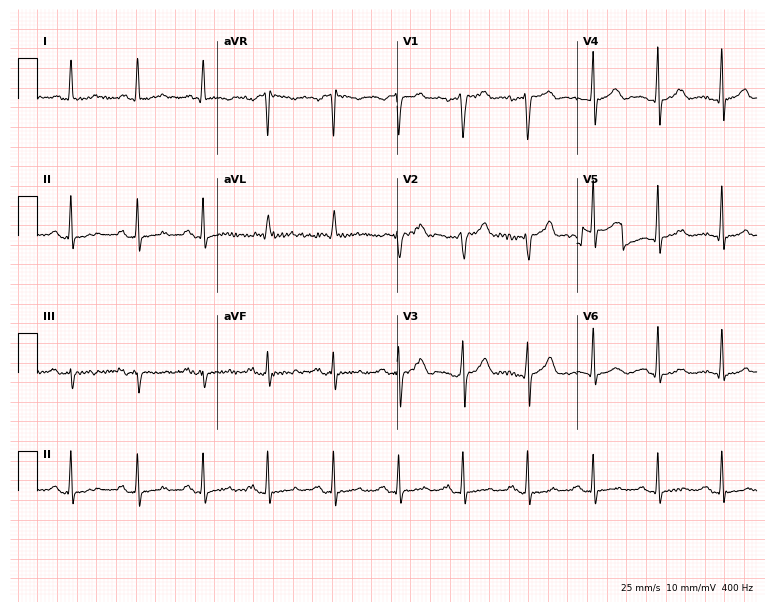
12-lead ECG from a woman, 43 years old. No first-degree AV block, right bundle branch block, left bundle branch block, sinus bradycardia, atrial fibrillation or sinus tachycardia recorded for this tracing. Findings outside these six are not listed.